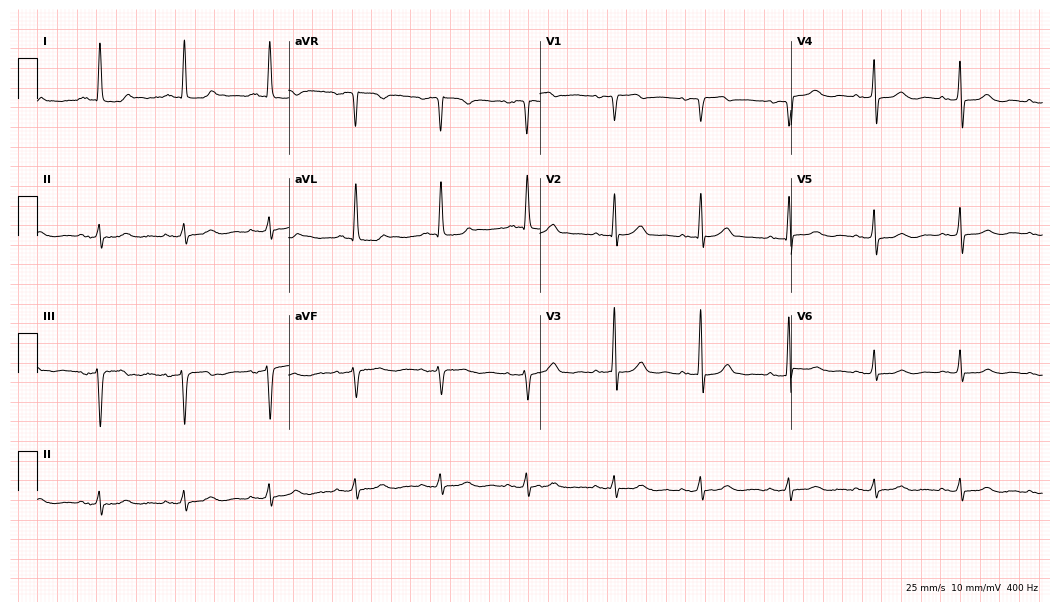
Electrocardiogram (10.2-second recording at 400 Hz), a female patient, 69 years old. Of the six screened findings (first-degree AV block, right bundle branch block (RBBB), left bundle branch block (LBBB), sinus bradycardia, atrial fibrillation (AF), sinus tachycardia), none is recorded.